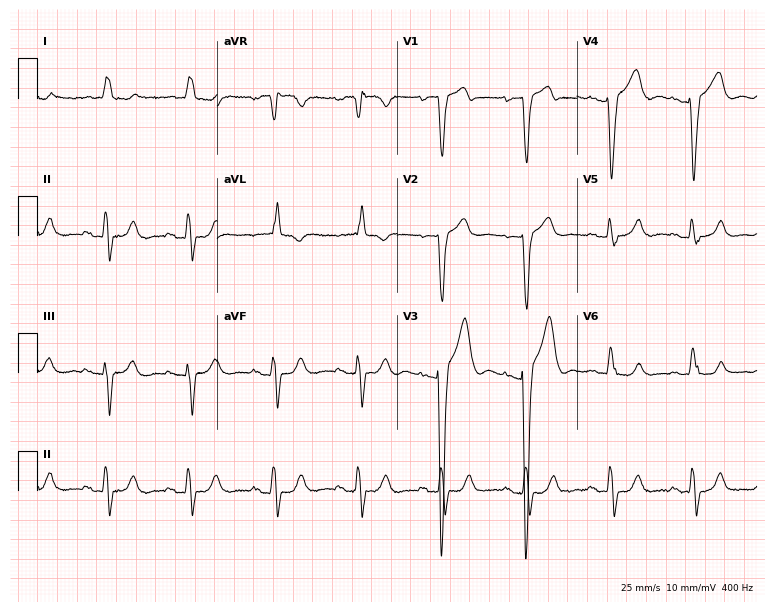
12-lead ECG from a female, 83 years old. Shows left bundle branch block.